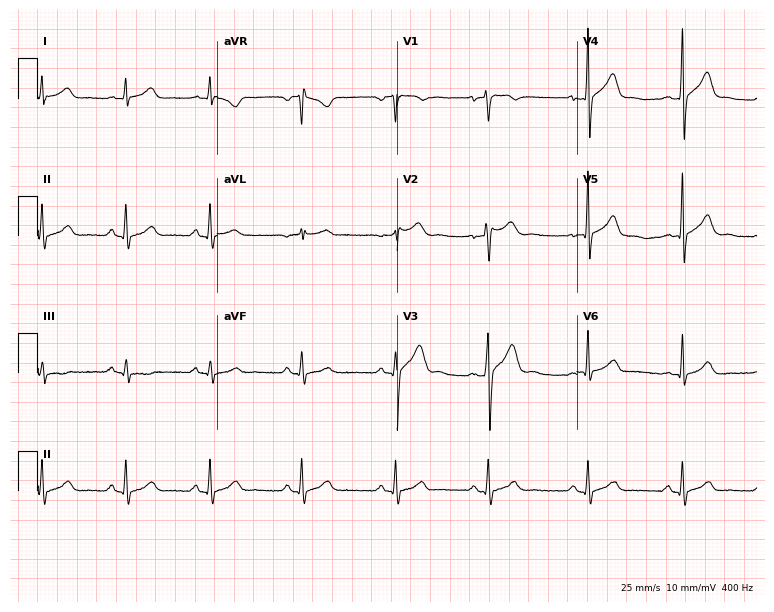
ECG — a man, 21 years old. Labelled as a normal ECG.